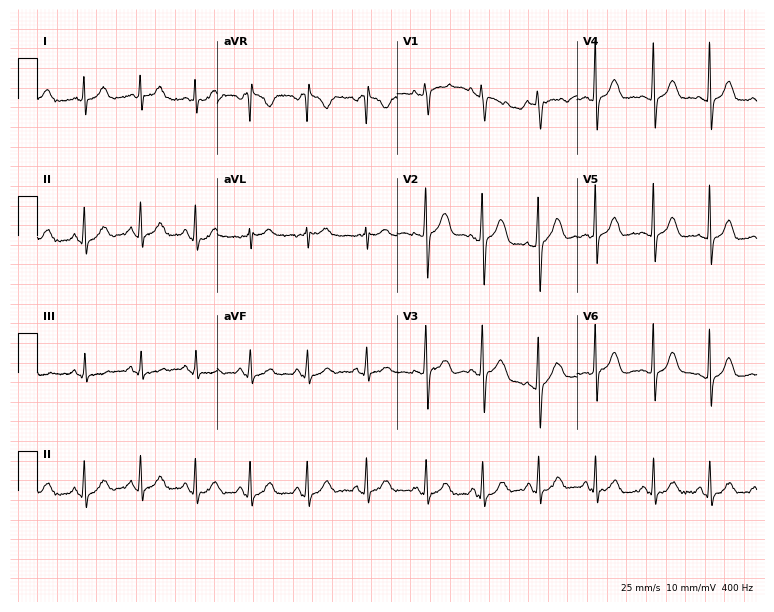
ECG (7.3-second recording at 400 Hz) — a female, 35 years old. Findings include sinus tachycardia (a sinus rate of 100 beats per minute or more).